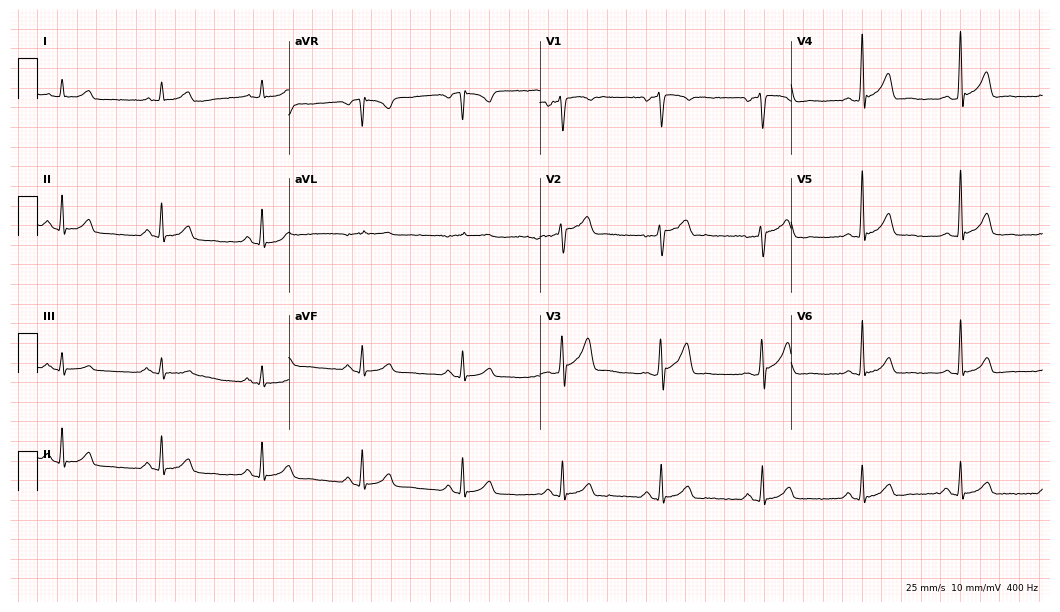
ECG — a 53-year-old man. Labelled as a normal ECG.